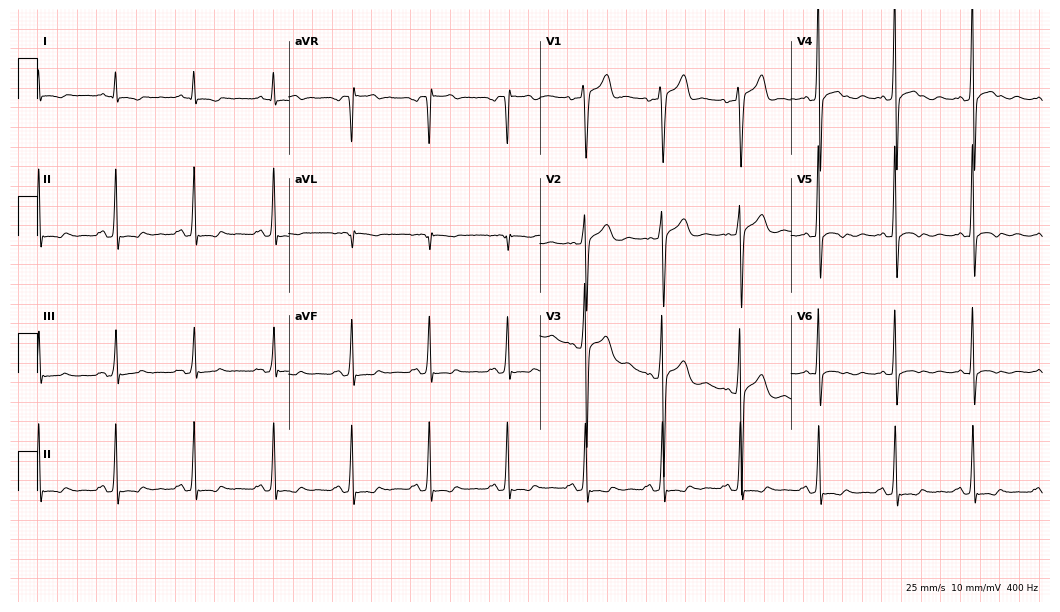
ECG (10.2-second recording at 400 Hz) — a 36-year-old male patient. Screened for six findings — first-degree AV block, right bundle branch block, left bundle branch block, sinus bradycardia, atrial fibrillation, sinus tachycardia — none is recorded.